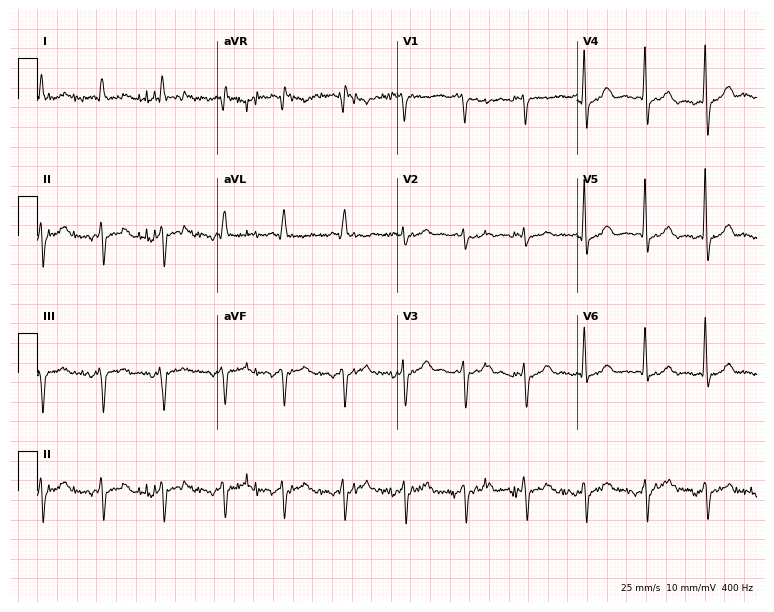
12-lead ECG (7.3-second recording at 400 Hz) from an 84-year-old male. Screened for six findings — first-degree AV block, right bundle branch block, left bundle branch block, sinus bradycardia, atrial fibrillation, sinus tachycardia — none is recorded. Findings outside these six are not listed.